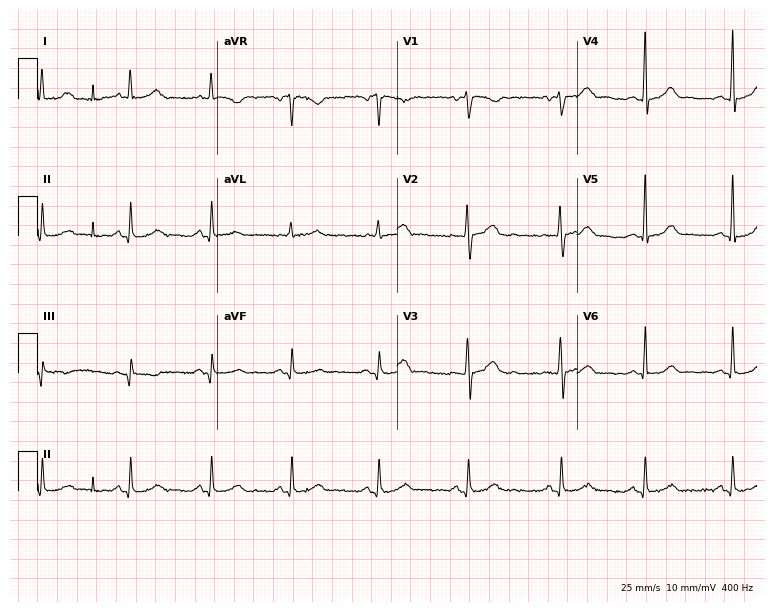
Electrocardiogram, a woman, 29 years old. Of the six screened findings (first-degree AV block, right bundle branch block, left bundle branch block, sinus bradycardia, atrial fibrillation, sinus tachycardia), none is recorded. Only these six findings were labelled.